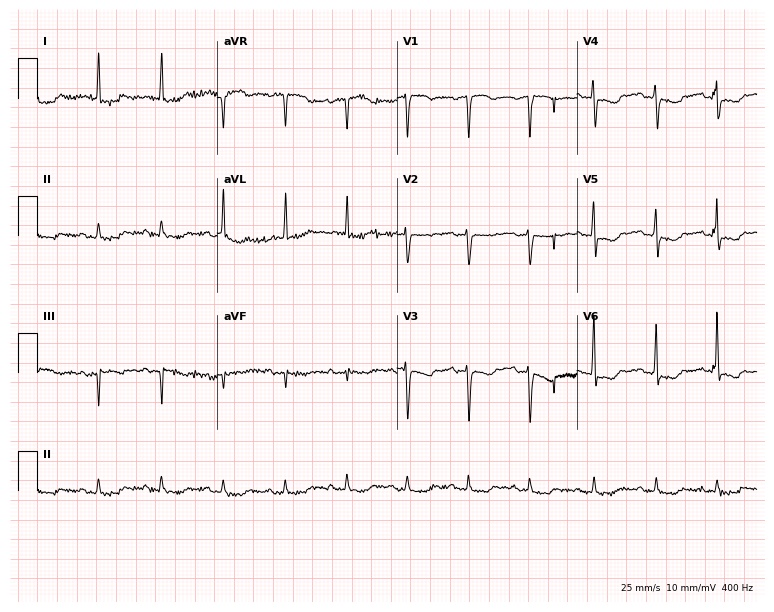
12-lead ECG from a female, 84 years old. Screened for six findings — first-degree AV block, right bundle branch block, left bundle branch block, sinus bradycardia, atrial fibrillation, sinus tachycardia — none is recorded. Other findings, if any, are not listed.